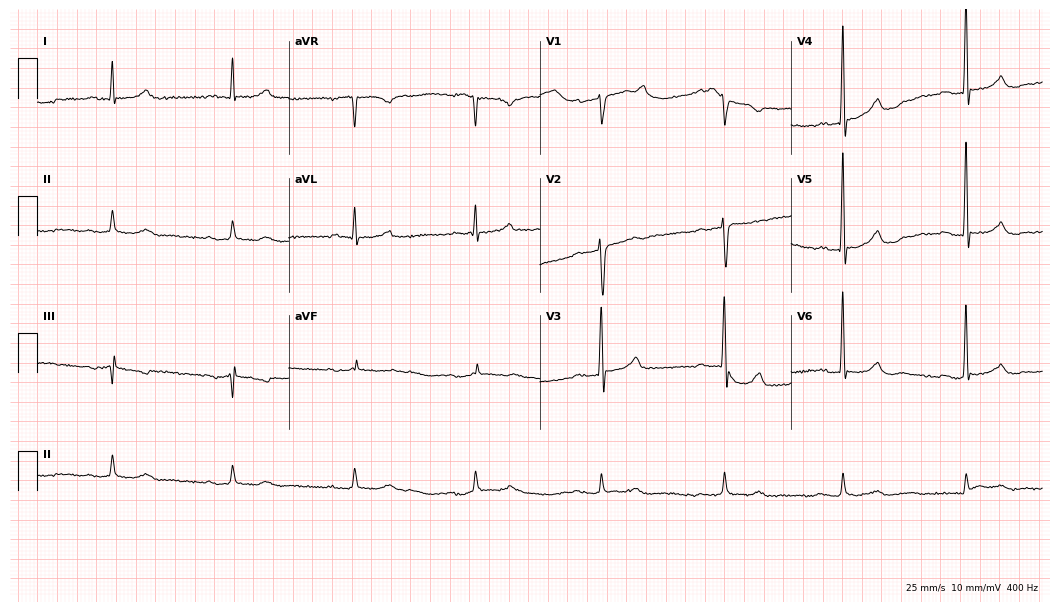
Resting 12-lead electrocardiogram. Patient: a 72-year-old male. The tracing shows first-degree AV block, sinus bradycardia (a sinus rate of 50 beats per minute or less).